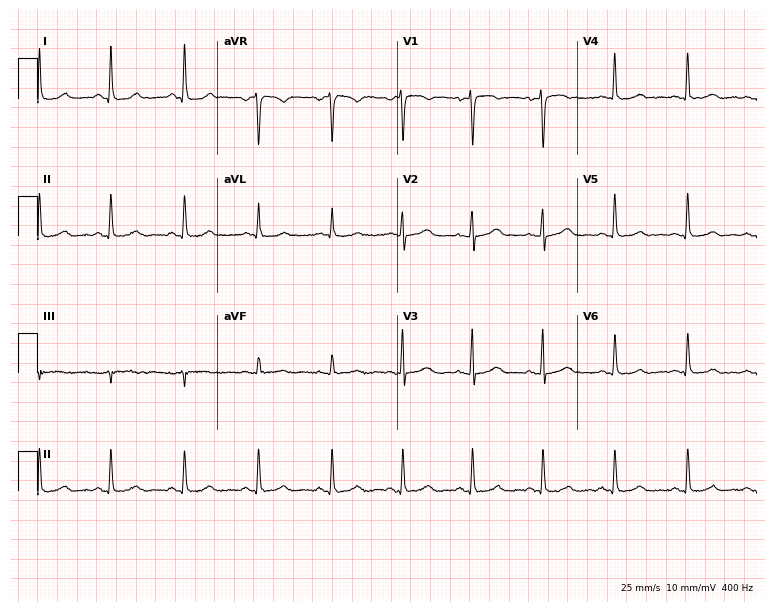
Standard 12-lead ECG recorded from a 42-year-old female (7.3-second recording at 400 Hz). Read as a normal ECG.